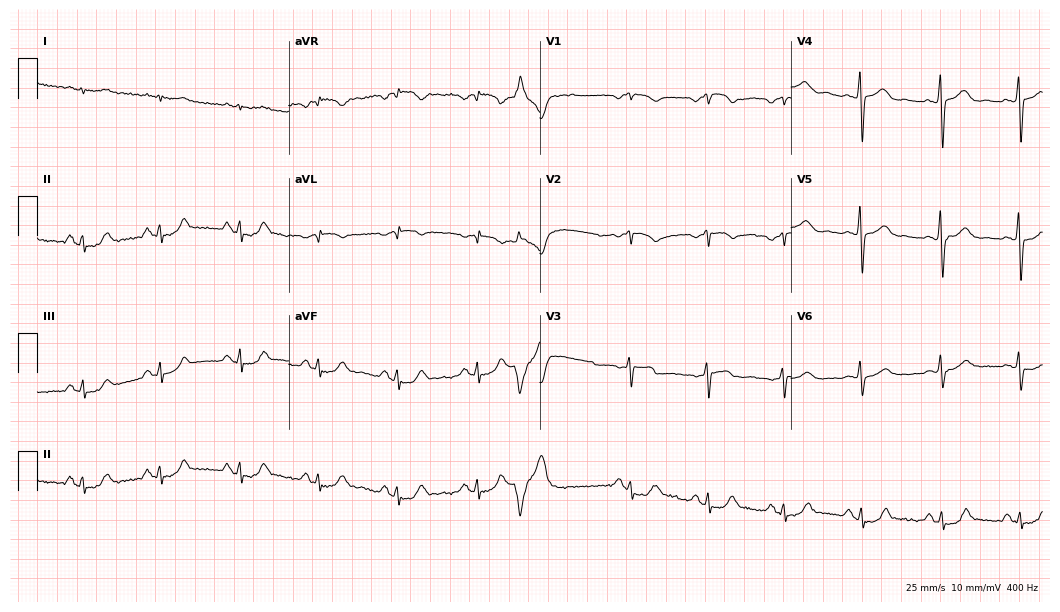
Electrocardiogram, a 73-year-old man. Of the six screened findings (first-degree AV block, right bundle branch block (RBBB), left bundle branch block (LBBB), sinus bradycardia, atrial fibrillation (AF), sinus tachycardia), none is recorded.